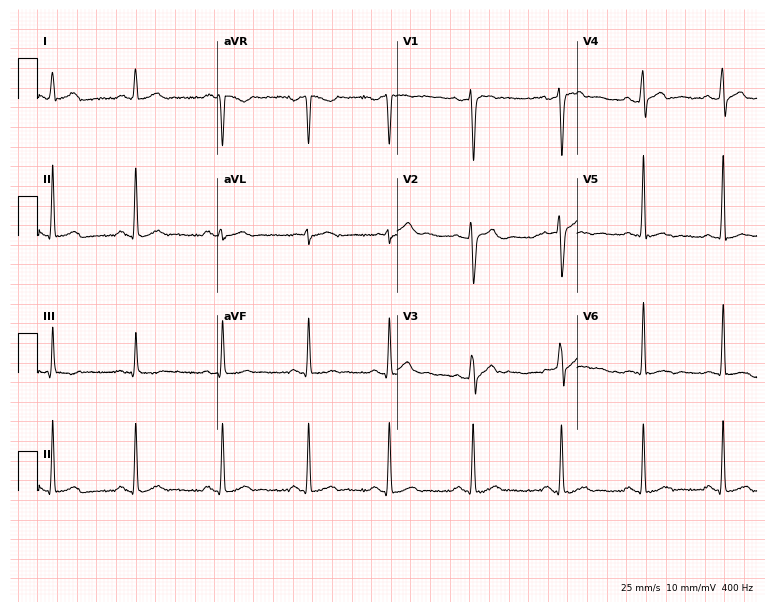
Electrocardiogram (7.3-second recording at 400 Hz), a 27-year-old male. Overall reading on record: normal ECG.